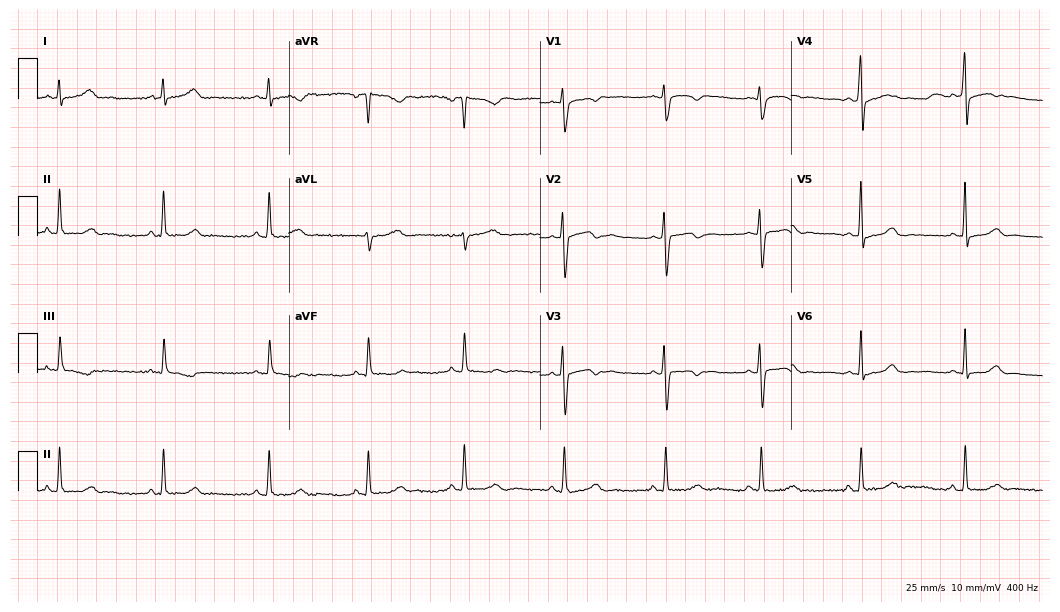
12-lead ECG from a 40-year-old woman (10.2-second recording at 400 Hz). Recorded interpretation: within normal limits.